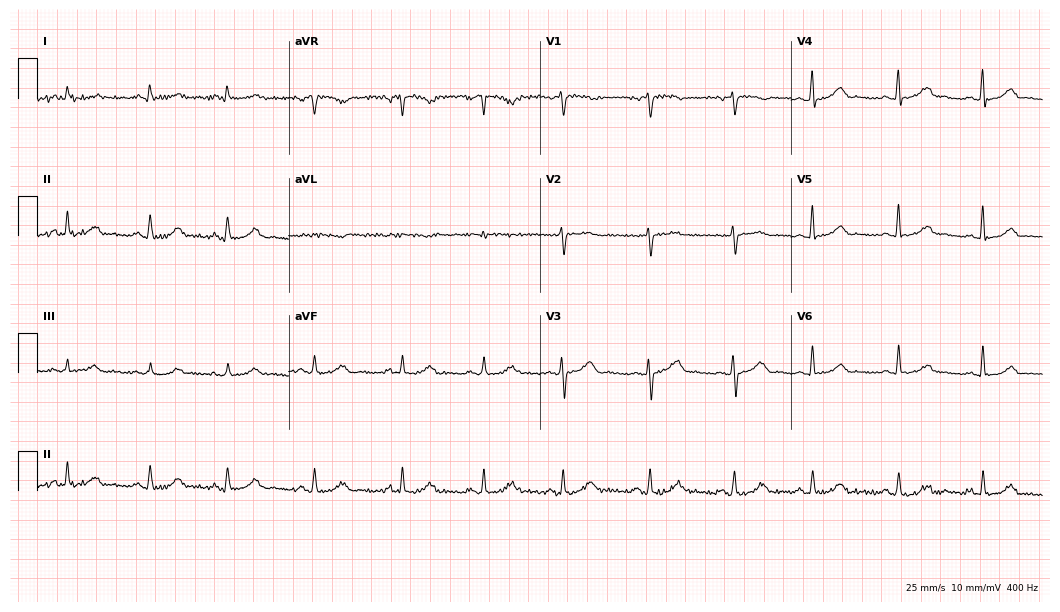
Standard 12-lead ECG recorded from a 62-year-old woman (10.2-second recording at 400 Hz). Read as a normal ECG.